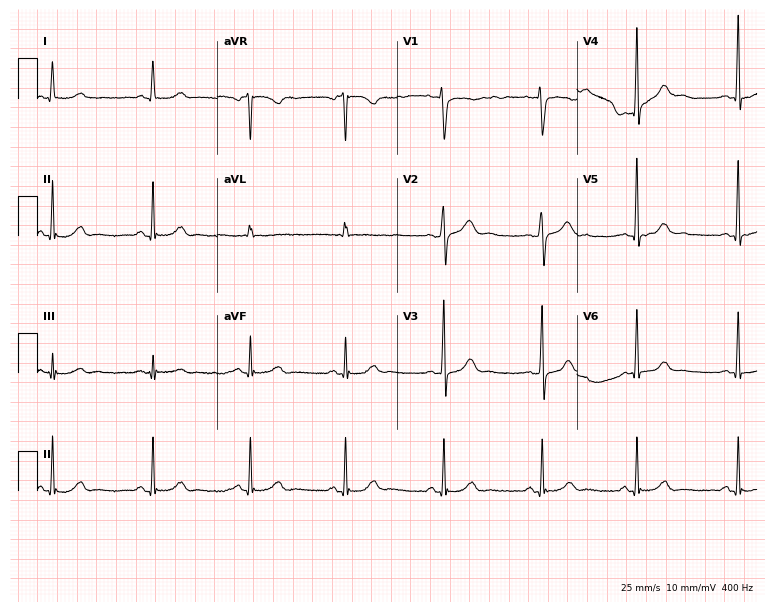
12-lead ECG (7.3-second recording at 400 Hz) from a woman, 57 years old. Screened for six findings — first-degree AV block, right bundle branch block, left bundle branch block, sinus bradycardia, atrial fibrillation, sinus tachycardia — none is recorded. Only these six findings were labelled.